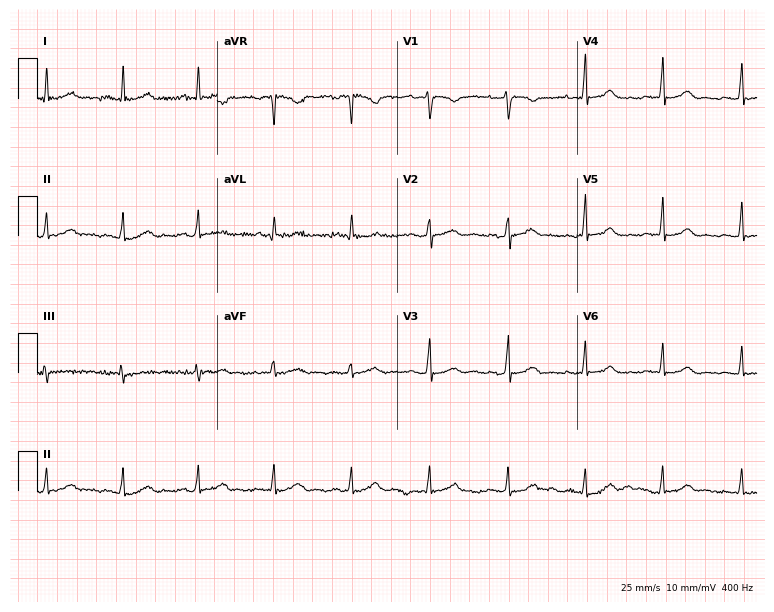
12-lead ECG from a female, 46 years old (7.3-second recording at 400 Hz). Recorded interpretation: within normal limits.